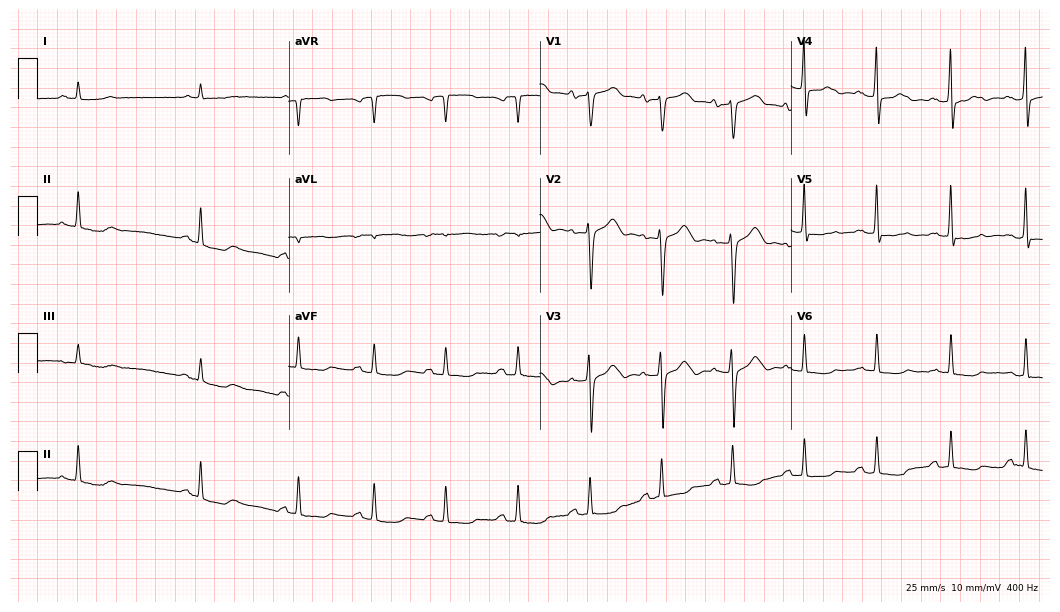
Resting 12-lead electrocardiogram. Patient: a male, 76 years old. None of these six findings is recorded: first-degree AV block, right bundle branch block, left bundle branch block, sinus bradycardia, atrial fibrillation, sinus tachycardia.